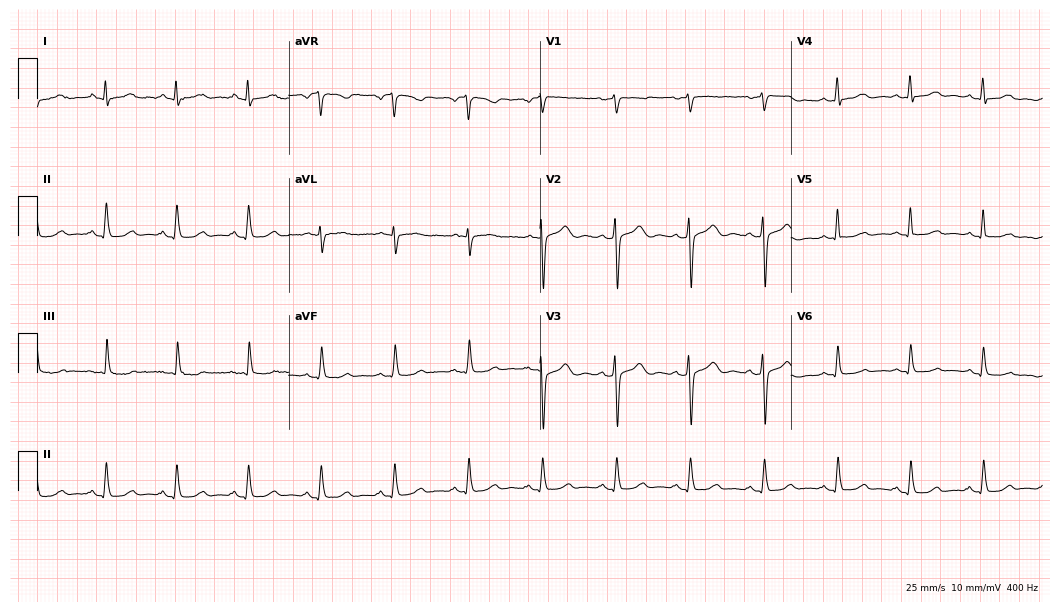
12-lead ECG from a 58-year-old female patient. Recorded interpretation: within normal limits.